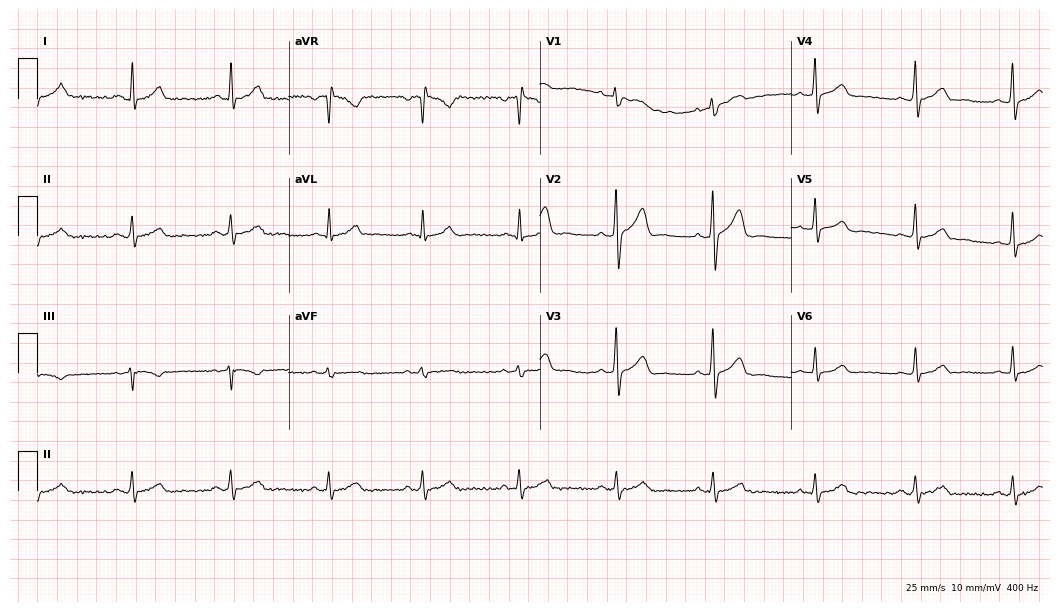
12-lead ECG from a male patient, 38 years old. Labelled as a normal ECG.